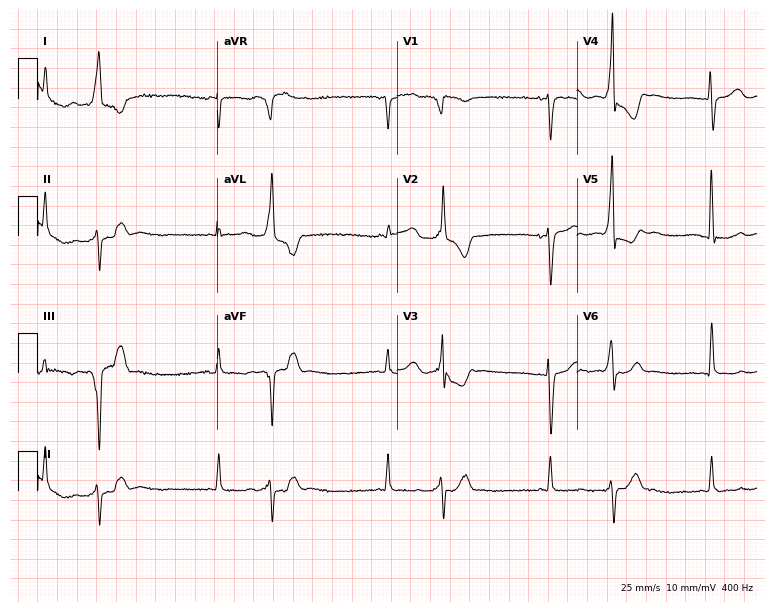
12-lead ECG from a 76-year-old male (7.3-second recording at 400 Hz). No first-degree AV block, right bundle branch block, left bundle branch block, sinus bradycardia, atrial fibrillation or sinus tachycardia recorded for this tracing.